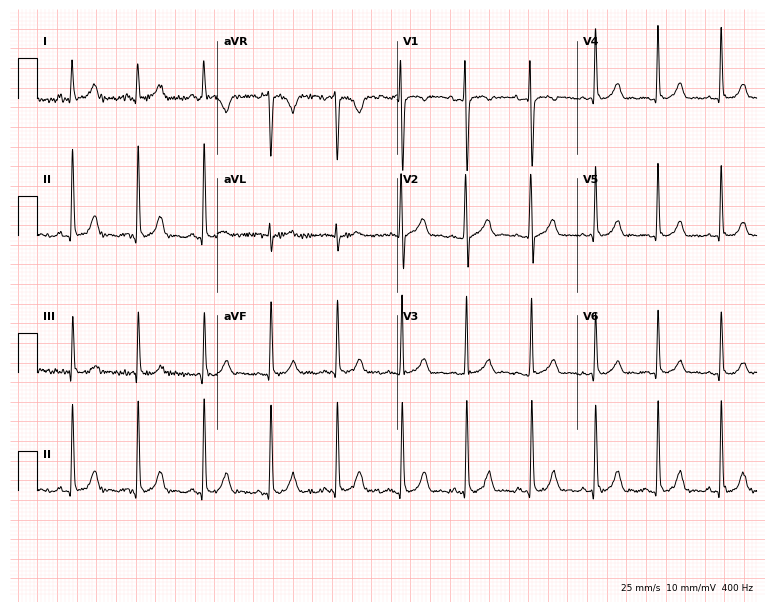
Electrocardiogram (7.3-second recording at 400 Hz), a 17-year-old woman. Overall reading on record: normal ECG.